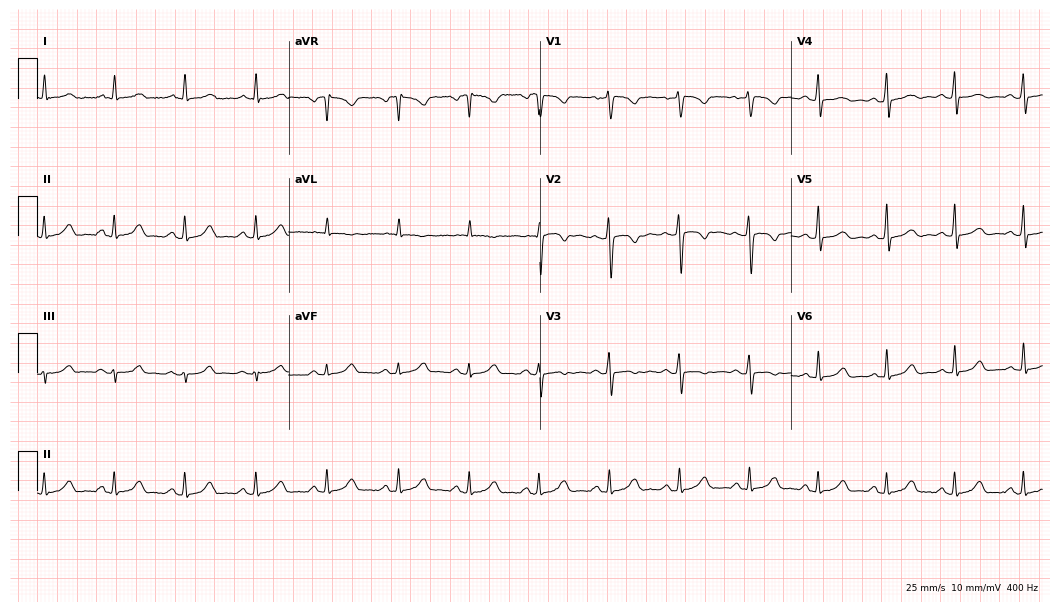
ECG — a 51-year-old female. Labelled as a normal ECG.